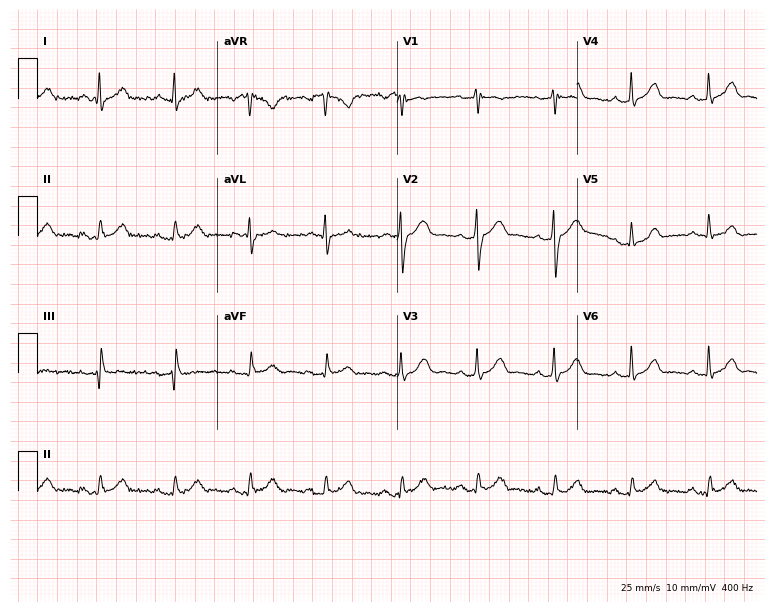
12-lead ECG (7.3-second recording at 400 Hz) from a male, 54 years old. Screened for six findings — first-degree AV block, right bundle branch block, left bundle branch block, sinus bradycardia, atrial fibrillation, sinus tachycardia — none is recorded. Other findings, if any, are not listed.